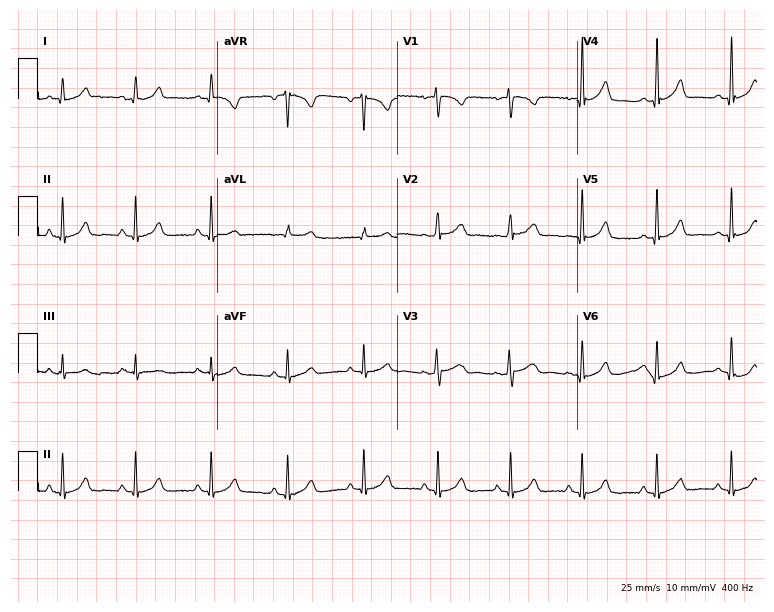
Standard 12-lead ECG recorded from a 29-year-old woman. Read as a normal ECG.